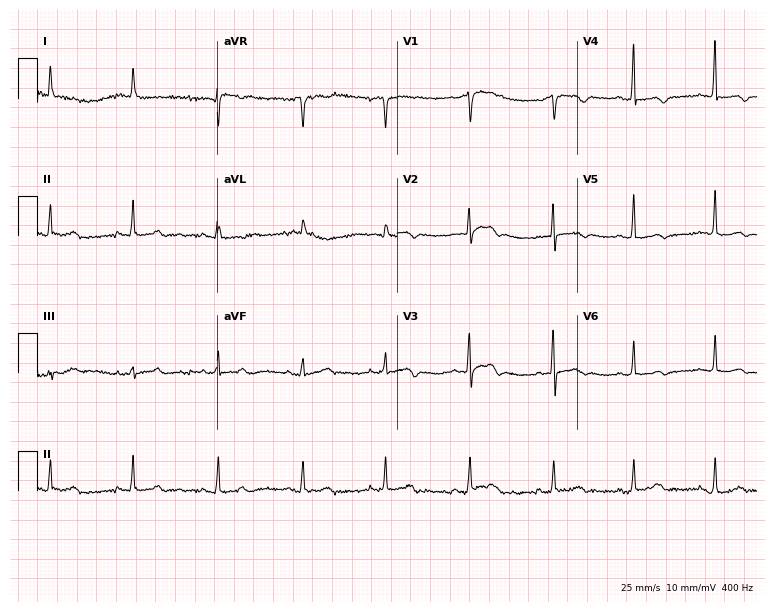
Electrocardiogram (7.3-second recording at 400 Hz), a female patient, 85 years old. Of the six screened findings (first-degree AV block, right bundle branch block, left bundle branch block, sinus bradycardia, atrial fibrillation, sinus tachycardia), none is recorded.